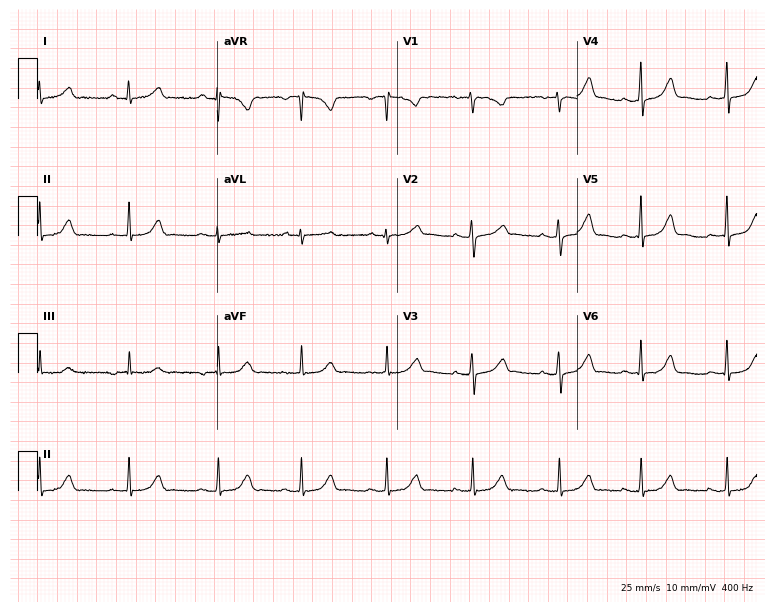
Electrocardiogram, a 21-year-old female patient. Of the six screened findings (first-degree AV block, right bundle branch block, left bundle branch block, sinus bradycardia, atrial fibrillation, sinus tachycardia), none is recorded.